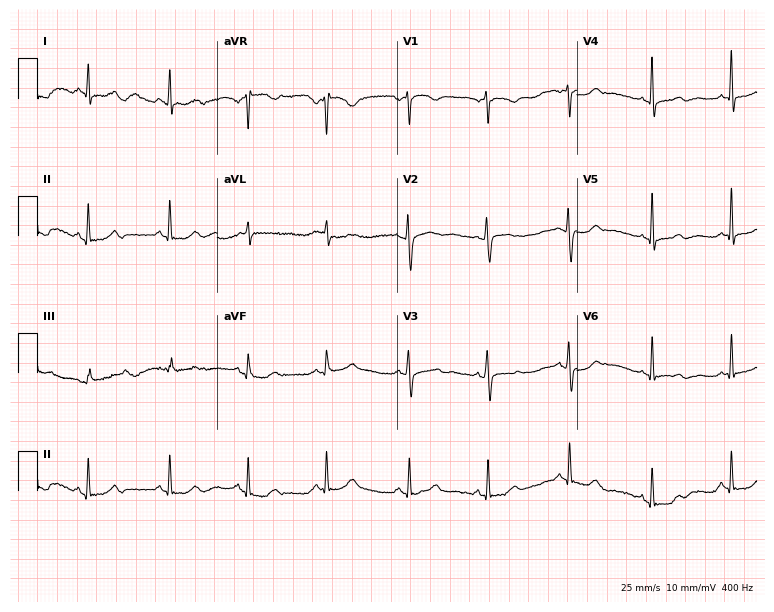
ECG — a female, 33 years old. Labelled as a normal ECG.